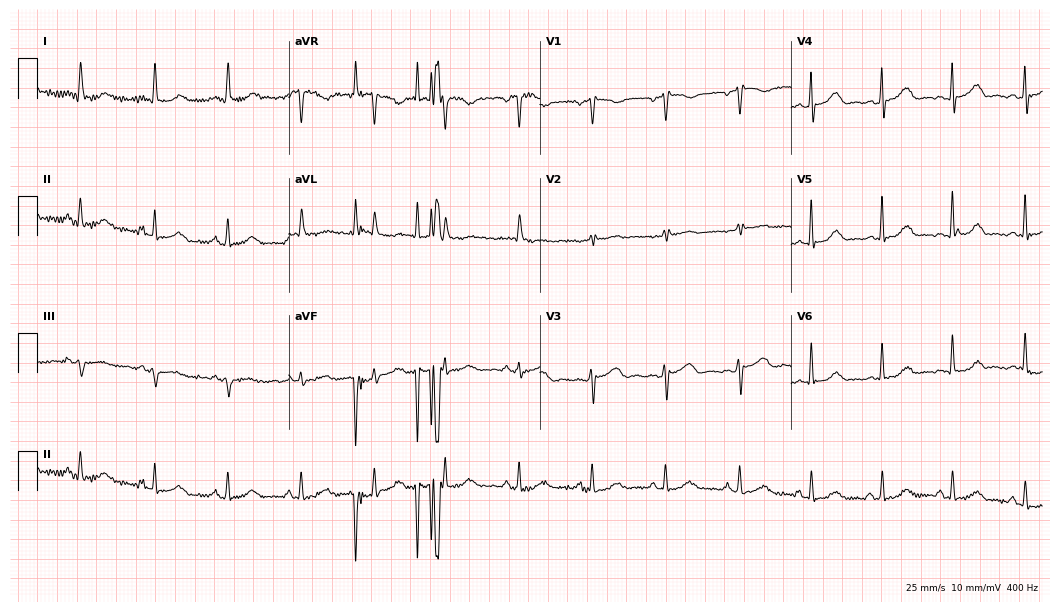
12-lead ECG from a 55-year-old woman. No first-degree AV block, right bundle branch block, left bundle branch block, sinus bradycardia, atrial fibrillation or sinus tachycardia recorded for this tracing. Findings outside these six are not listed.